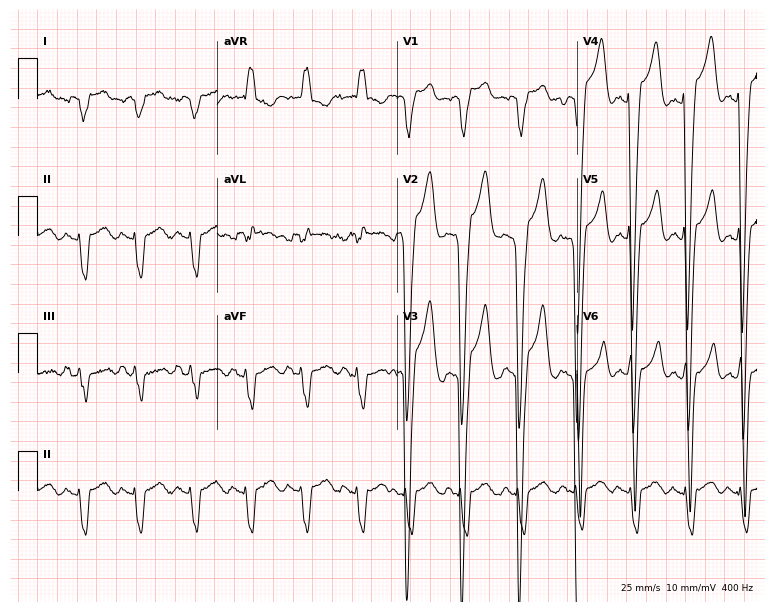
Standard 12-lead ECG recorded from a 79-year-old male patient (7.3-second recording at 400 Hz). None of these six findings is recorded: first-degree AV block, right bundle branch block (RBBB), left bundle branch block (LBBB), sinus bradycardia, atrial fibrillation (AF), sinus tachycardia. Other findings, if any, are not listed.